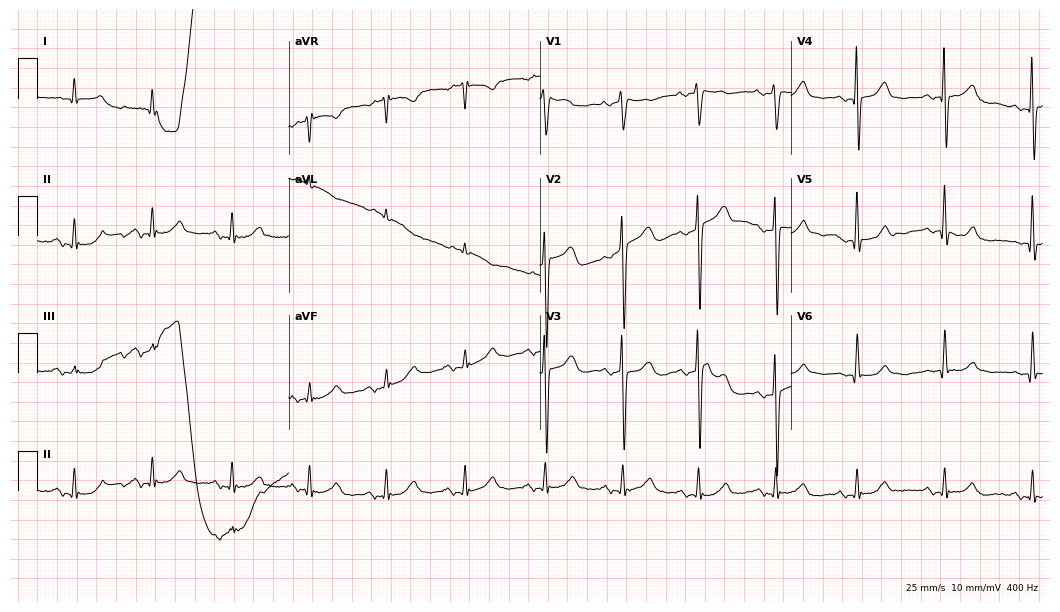
12-lead ECG from a 73-year-old male patient. No first-degree AV block, right bundle branch block, left bundle branch block, sinus bradycardia, atrial fibrillation or sinus tachycardia recorded for this tracing. Only these six findings were labelled.